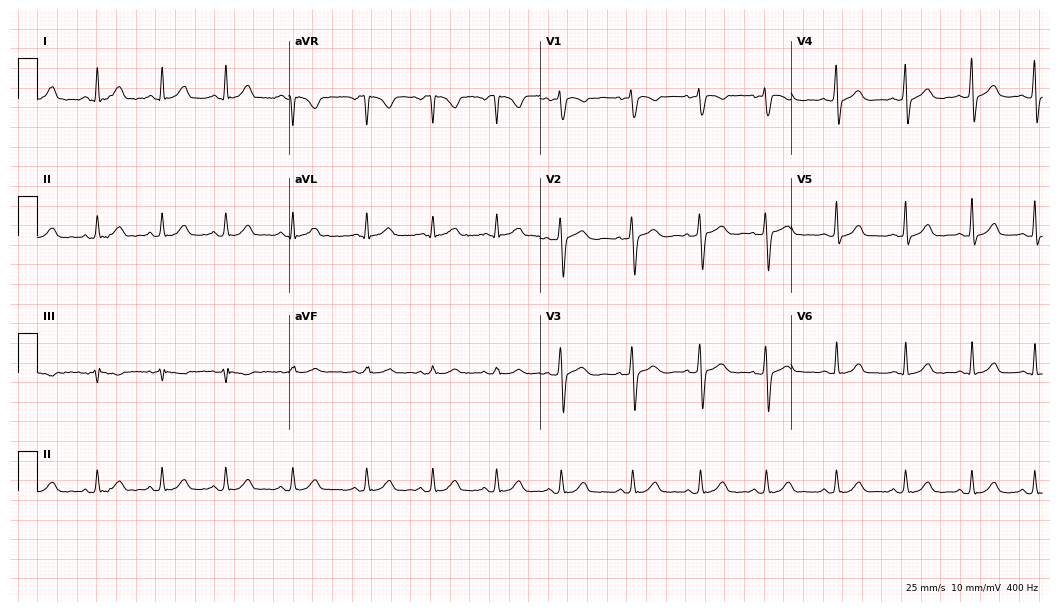
Standard 12-lead ECG recorded from a man, 32 years old. Read as a normal ECG.